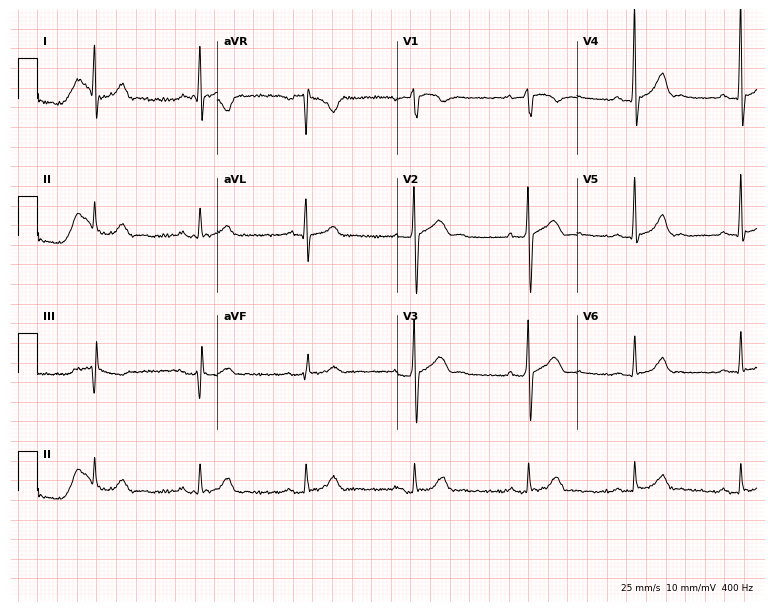
12-lead ECG from a man, 47 years old. Labelled as a normal ECG.